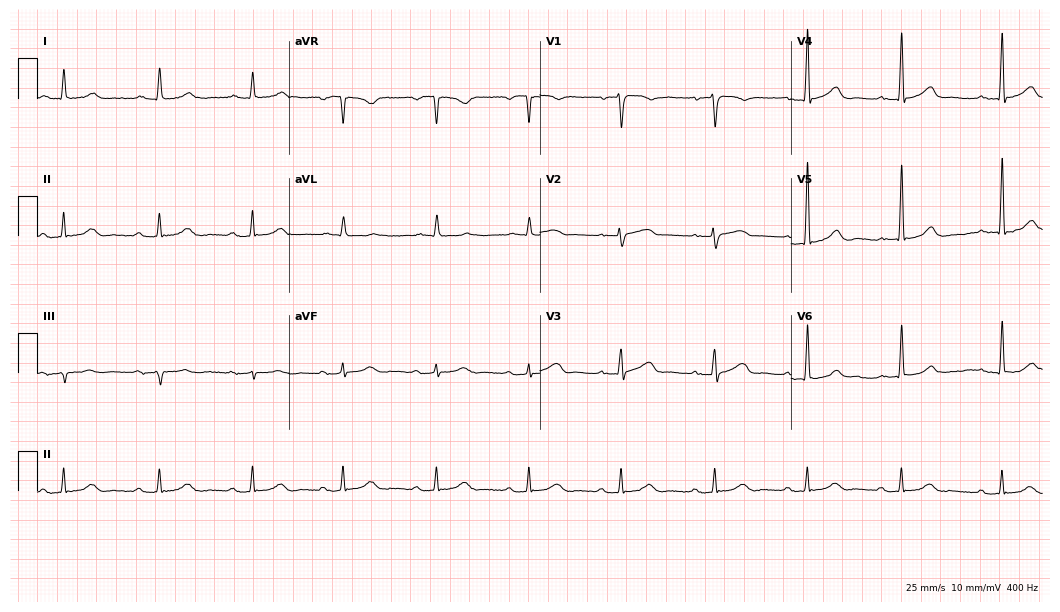
Electrocardiogram, a 75-year-old male. Interpretation includes first-degree AV block.